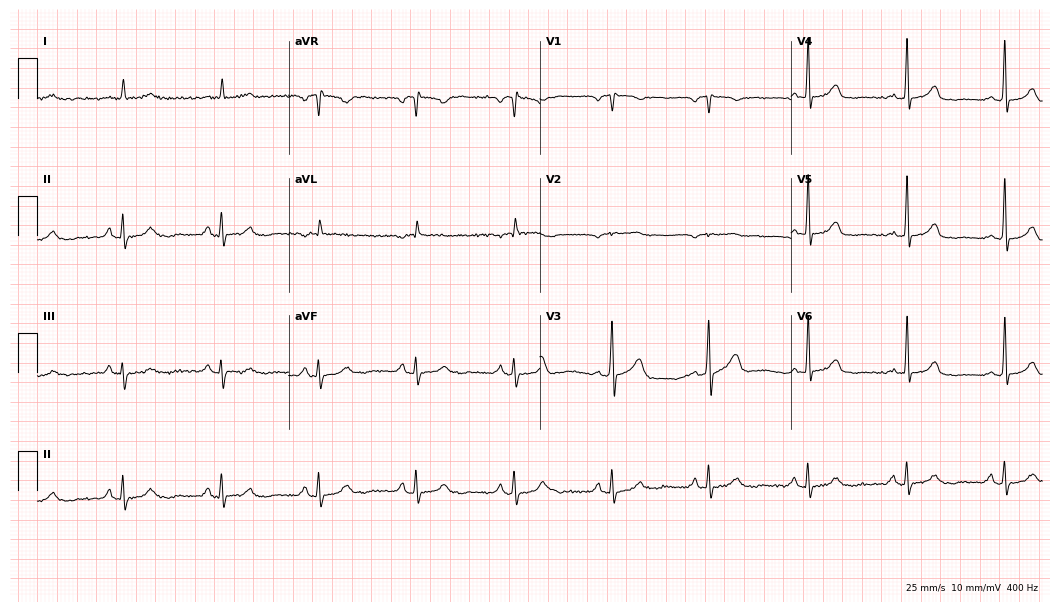
12-lead ECG from an 80-year-old female. Screened for six findings — first-degree AV block, right bundle branch block, left bundle branch block, sinus bradycardia, atrial fibrillation, sinus tachycardia — none is recorded.